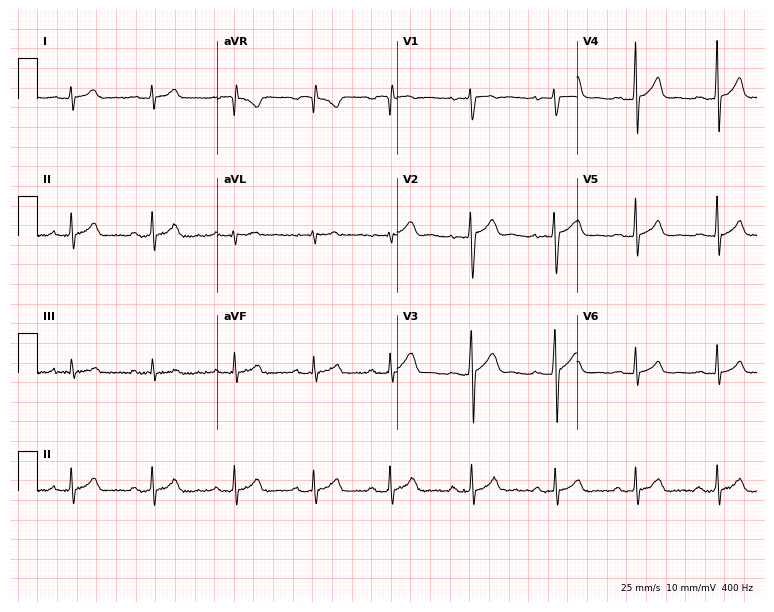
Resting 12-lead electrocardiogram. Patient: a man, 22 years old. Read as a normal ECG.